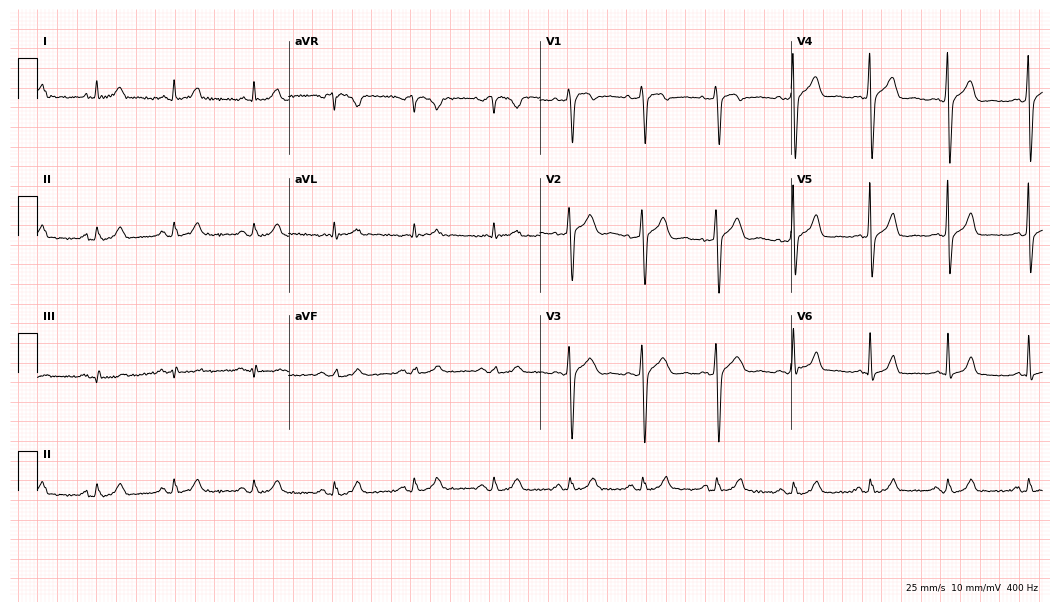
ECG (10.2-second recording at 400 Hz) — a man, 50 years old. Labelled as a normal ECG.